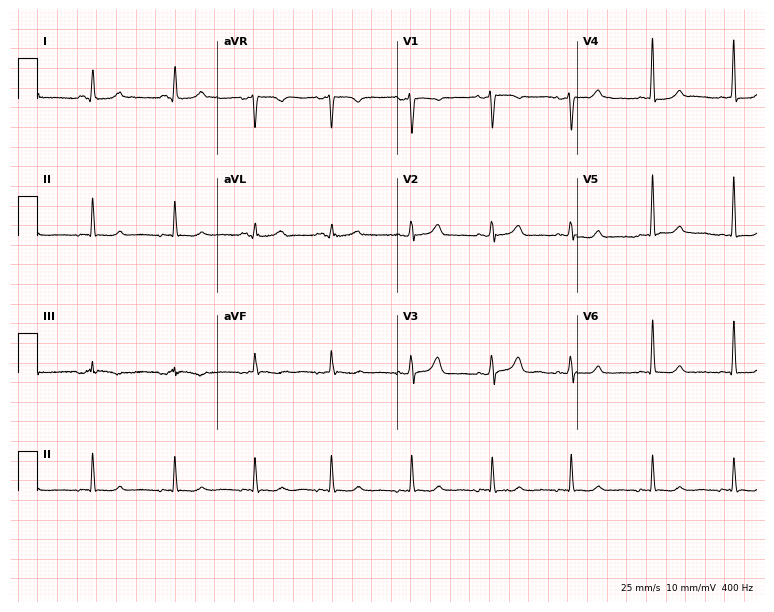
Resting 12-lead electrocardiogram (7.3-second recording at 400 Hz). Patient: a female, 44 years old. None of these six findings is recorded: first-degree AV block, right bundle branch block, left bundle branch block, sinus bradycardia, atrial fibrillation, sinus tachycardia. Findings outside these six are not listed.